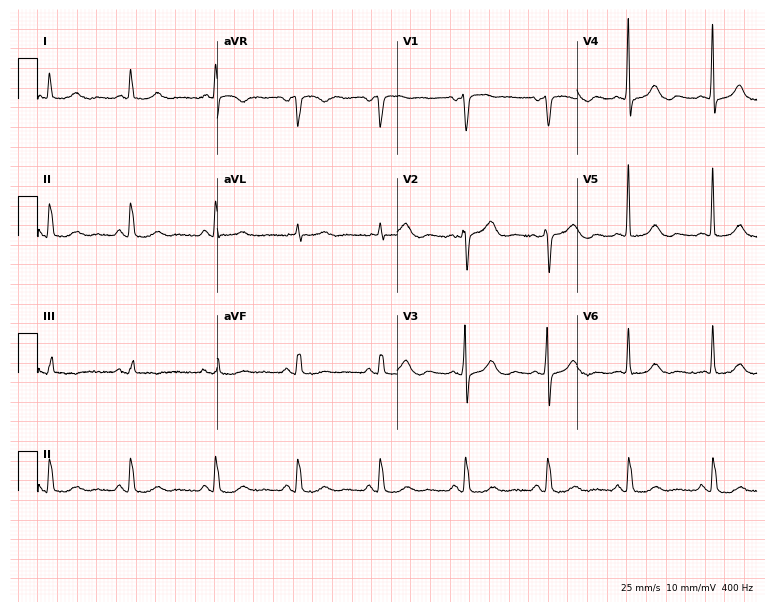
12-lead ECG from an 80-year-old female patient (7.3-second recording at 400 Hz). Recorded interpretation: within normal limits.